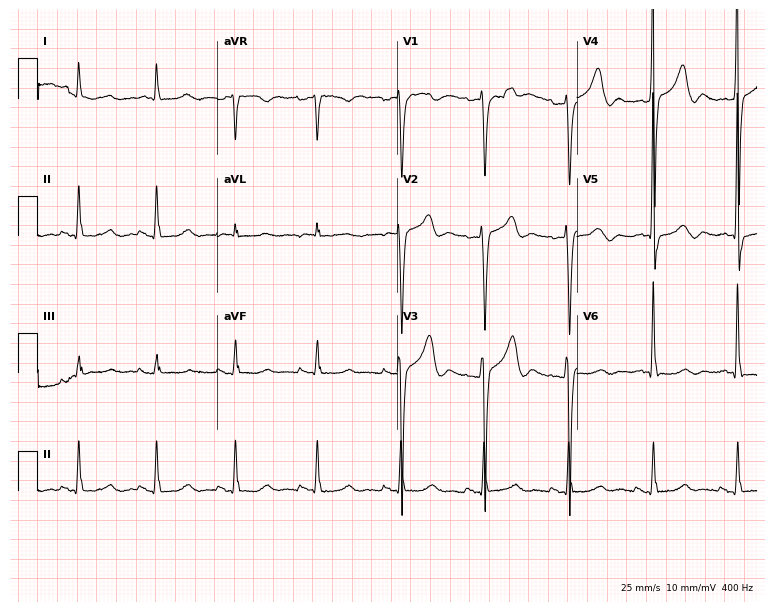
Electrocardiogram (7.3-second recording at 400 Hz), a male patient, 74 years old. Of the six screened findings (first-degree AV block, right bundle branch block (RBBB), left bundle branch block (LBBB), sinus bradycardia, atrial fibrillation (AF), sinus tachycardia), none is recorded.